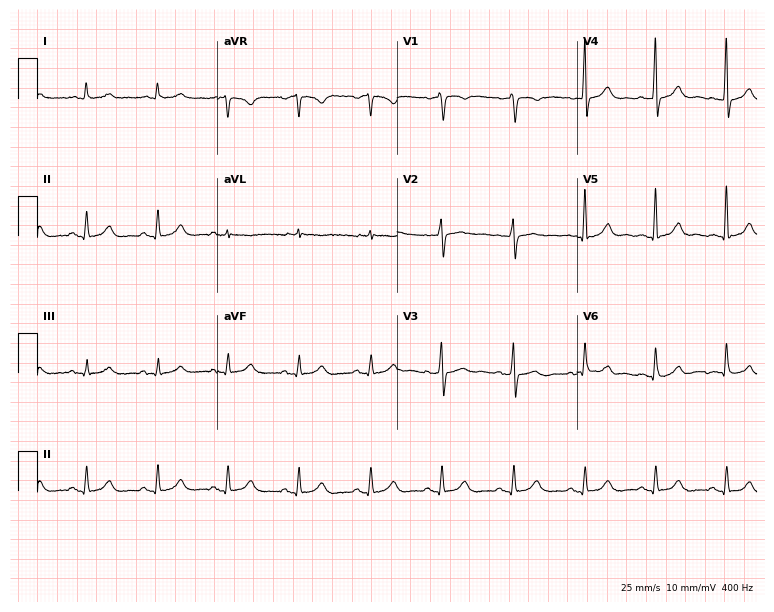
Electrocardiogram, a male, 70 years old. Overall reading on record: normal ECG.